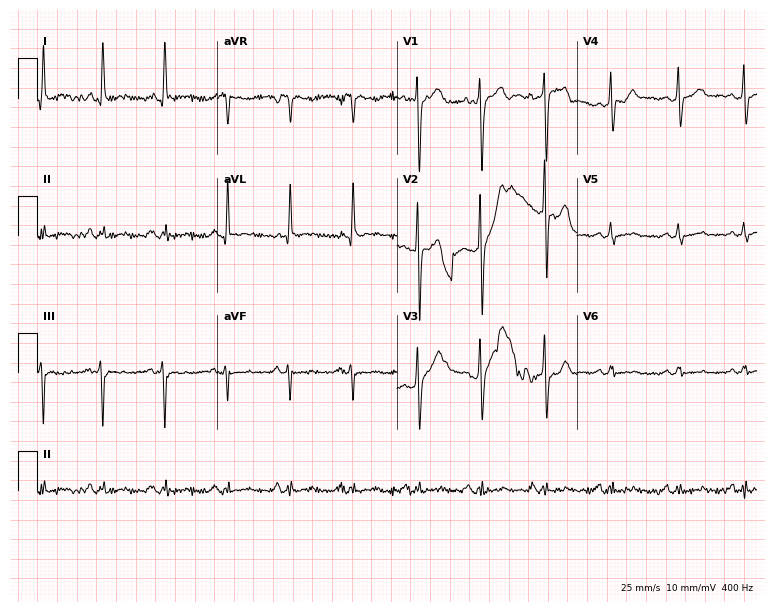
ECG — a 32-year-old male patient. Screened for six findings — first-degree AV block, right bundle branch block, left bundle branch block, sinus bradycardia, atrial fibrillation, sinus tachycardia — none is recorded.